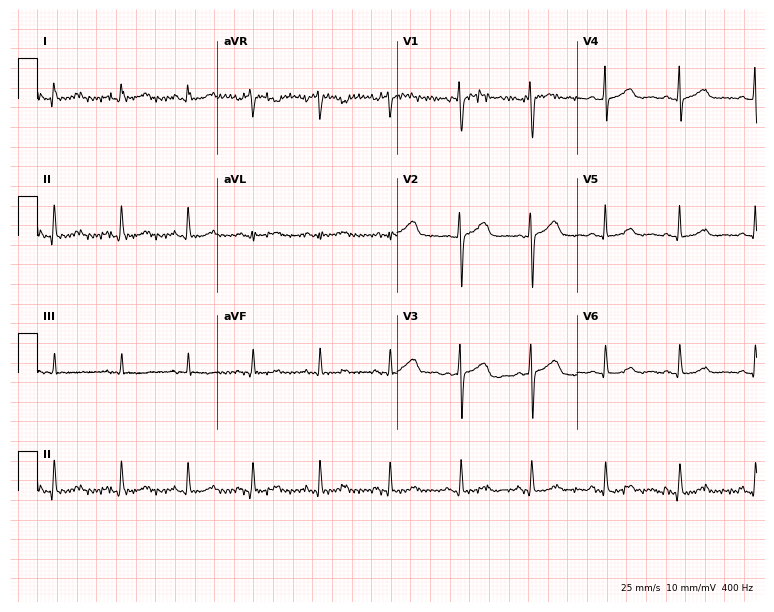
Standard 12-lead ECG recorded from a woman, 37 years old (7.3-second recording at 400 Hz). Read as a normal ECG.